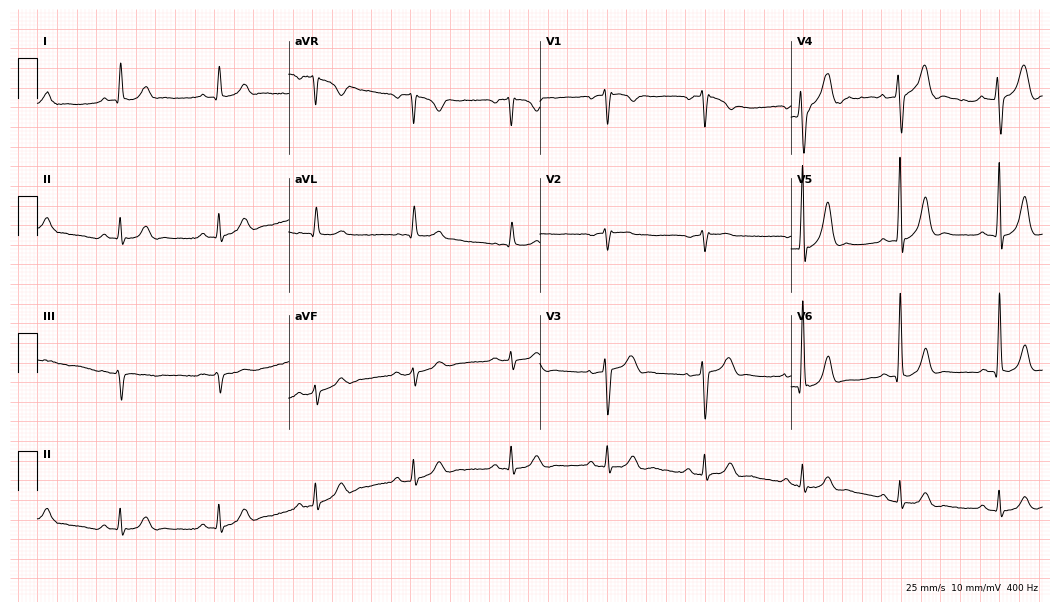
Resting 12-lead electrocardiogram. Patient: a male, 66 years old. Read as a normal ECG.